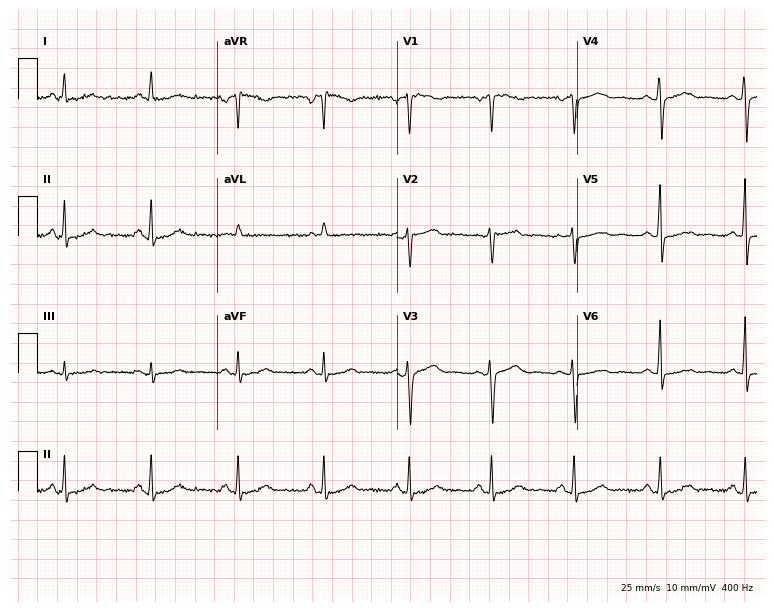
12-lead ECG from a 51-year-old female. No first-degree AV block, right bundle branch block, left bundle branch block, sinus bradycardia, atrial fibrillation or sinus tachycardia recorded for this tracing. Only these six findings were labelled.